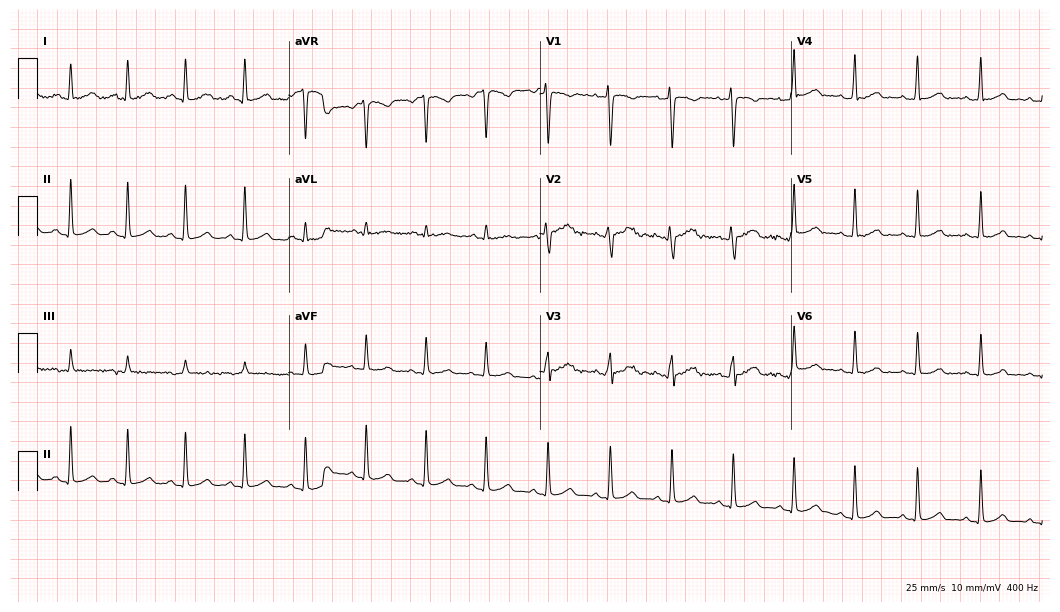
Standard 12-lead ECG recorded from a 26-year-old female patient (10.2-second recording at 400 Hz). Read as a normal ECG.